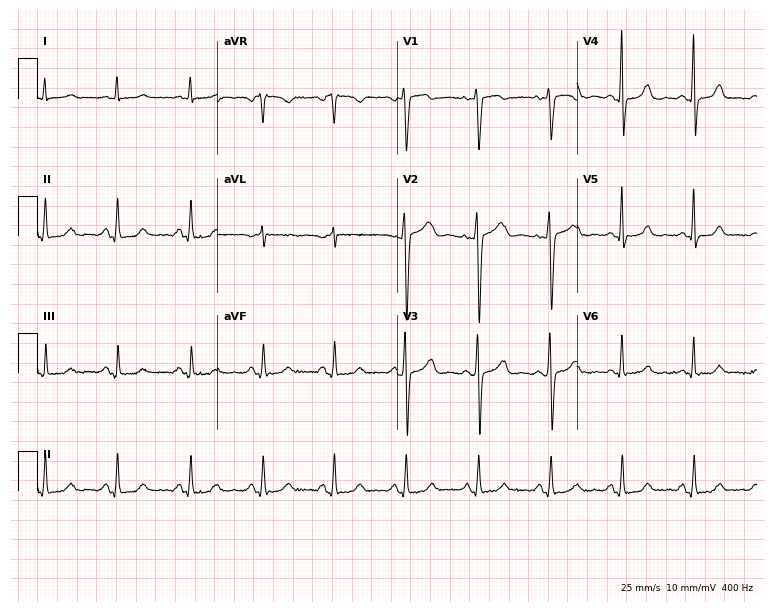
12-lead ECG from a 39-year-old female. No first-degree AV block, right bundle branch block, left bundle branch block, sinus bradycardia, atrial fibrillation or sinus tachycardia recorded for this tracing. Only these six findings were labelled.